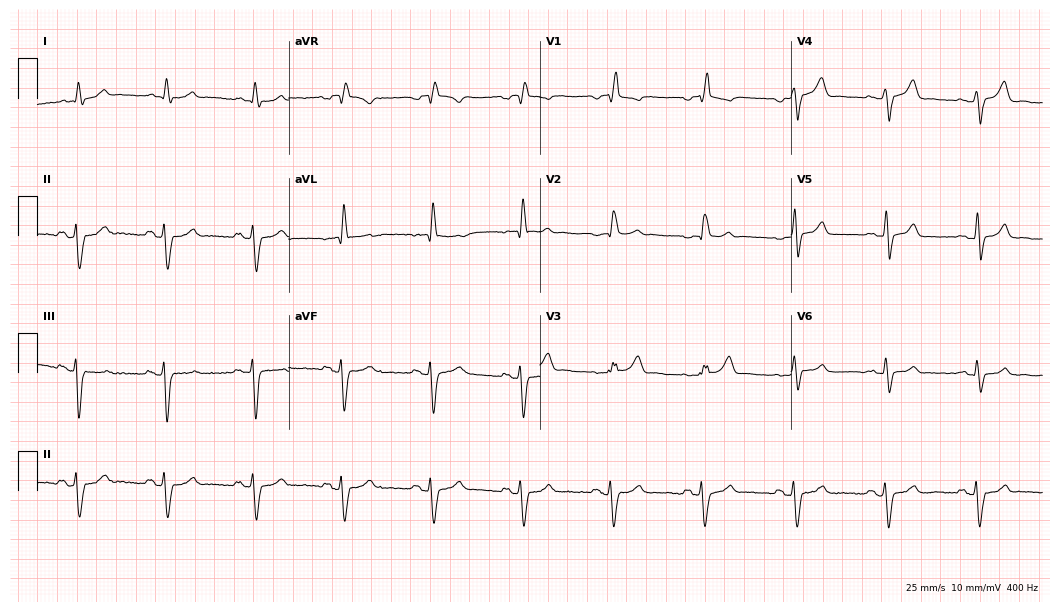
Electrocardiogram, a male, 68 years old. Interpretation includes right bundle branch block.